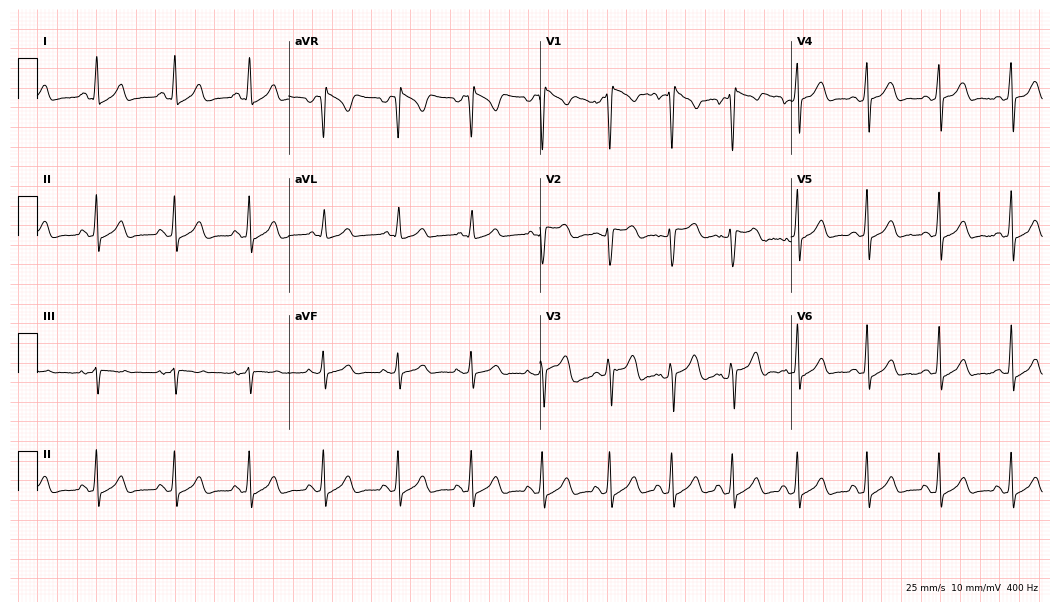
Standard 12-lead ECG recorded from a 17-year-old woman (10.2-second recording at 400 Hz). Read as a normal ECG.